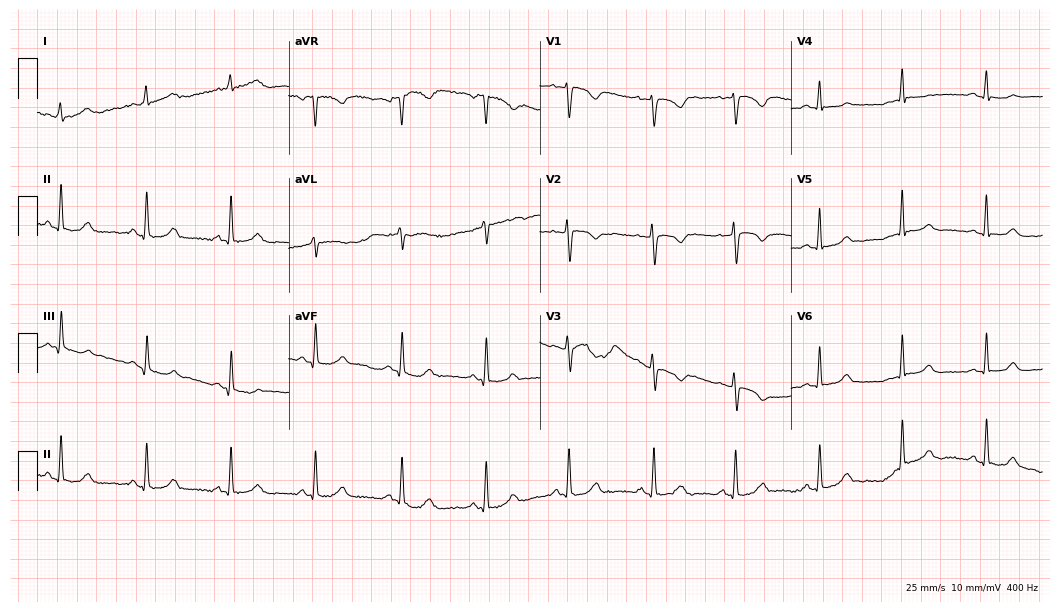
Electrocardiogram, a female patient, 34 years old. Of the six screened findings (first-degree AV block, right bundle branch block (RBBB), left bundle branch block (LBBB), sinus bradycardia, atrial fibrillation (AF), sinus tachycardia), none is recorded.